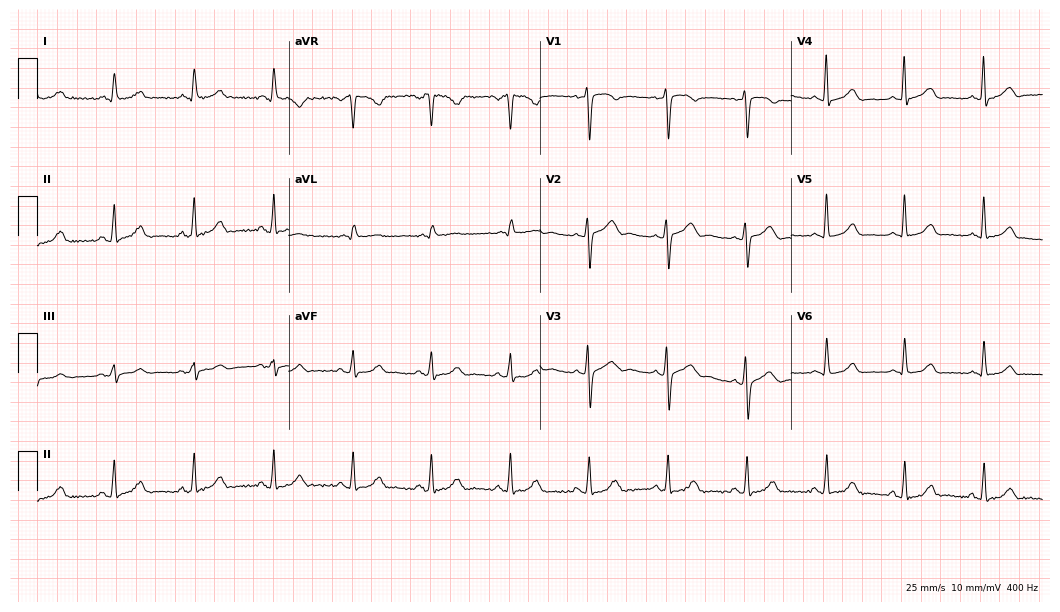
Electrocardiogram, a 52-year-old female. Overall reading on record: normal ECG.